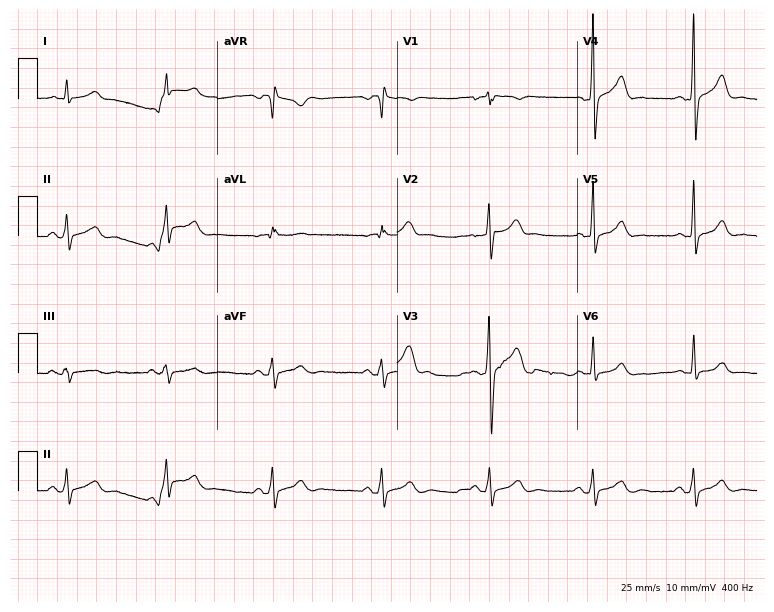
Electrocardiogram, a 21-year-old man. Of the six screened findings (first-degree AV block, right bundle branch block (RBBB), left bundle branch block (LBBB), sinus bradycardia, atrial fibrillation (AF), sinus tachycardia), none is recorded.